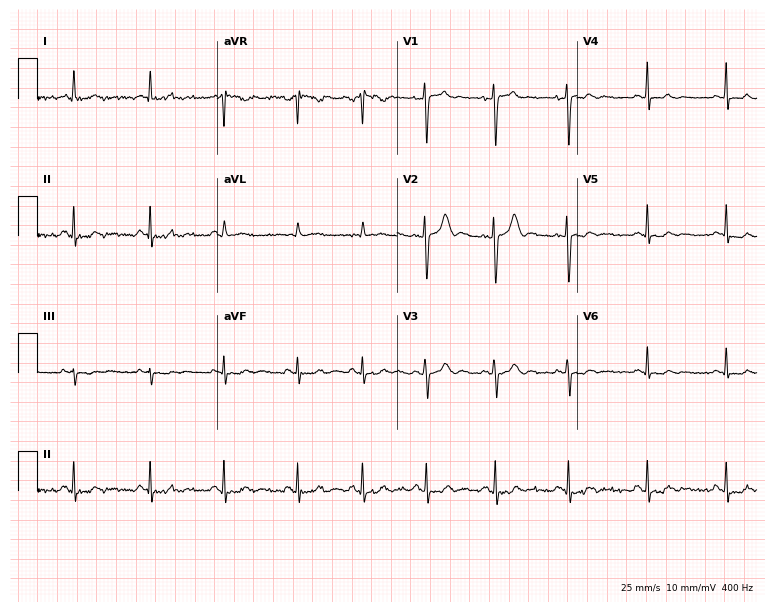
ECG — a female, 36 years old. Labelled as a normal ECG.